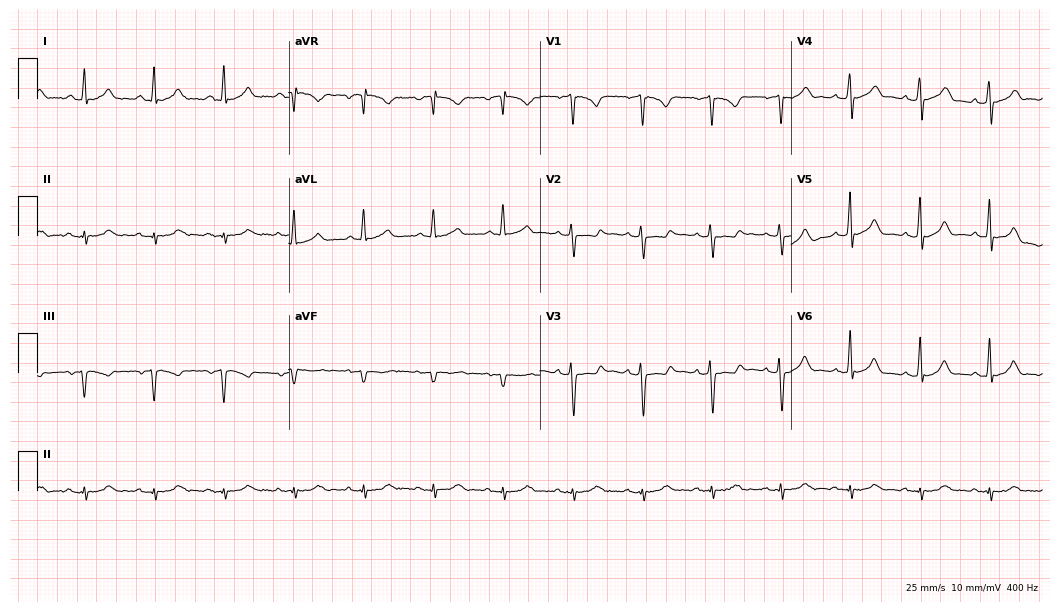
Standard 12-lead ECG recorded from a 44-year-old male patient. None of these six findings is recorded: first-degree AV block, right bundle branch block, left bundle branch block, sinus bradycardia, atrial fibrillation, sinus tachycardia. Other findings, if any, are not listed.